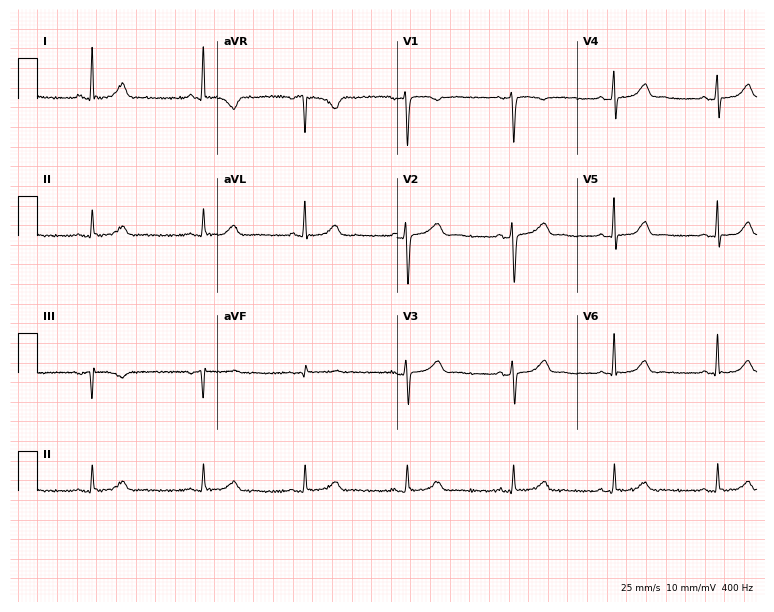
ECG — a female patient, 41 years old. Screened for six findings — first-degree AV block, right bundle branch block, left bundle branch block, sinus bradycardia, atrial fibrillation, sinus tachycardia — none is recorded. Other findings, if any, are not listed.